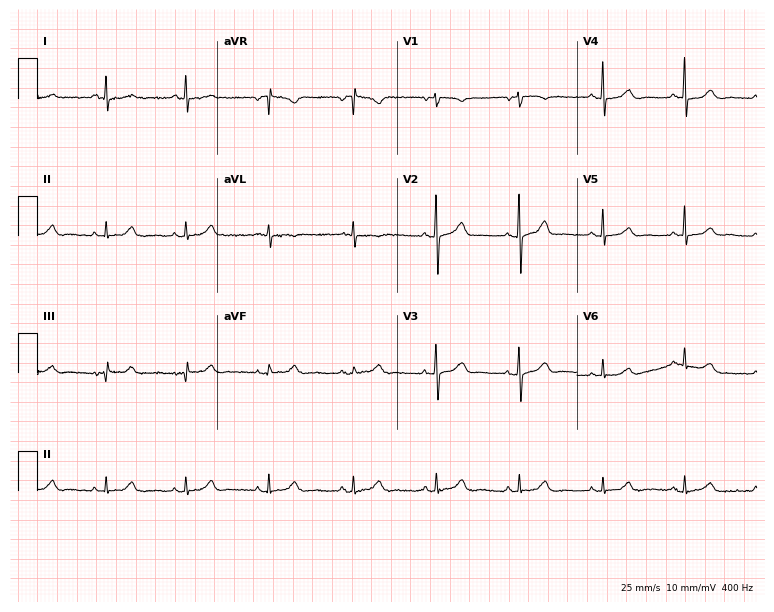
Standard 12-lead ECG recorded from a 77-year-old female (7.3-second recording at 400 Hz). Read as a normal ECG.